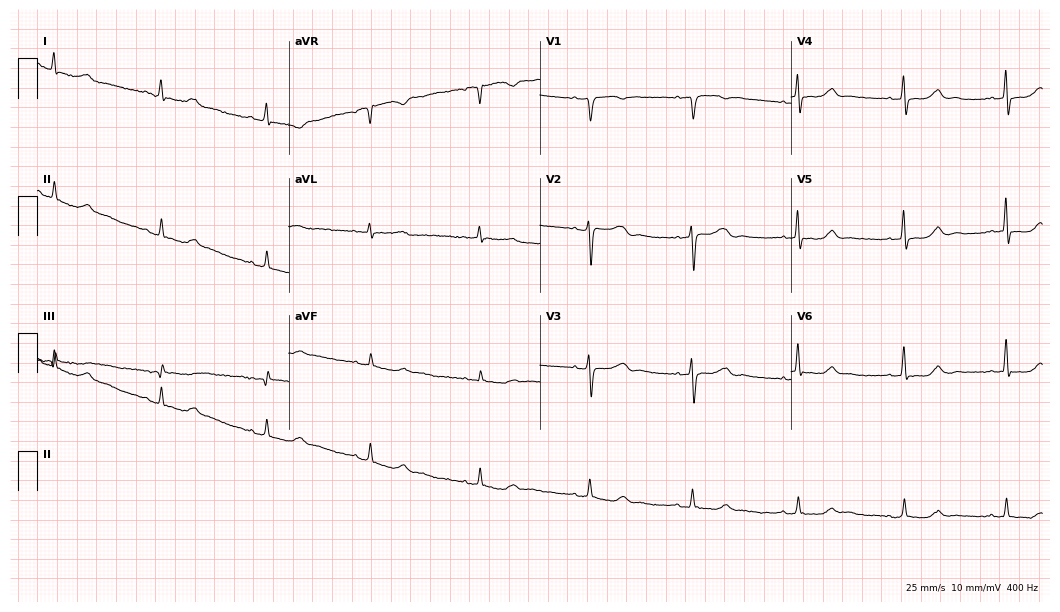
Standard 12-lead ECG recorded from an 84-year-old female patient. Read as a normal ECG.